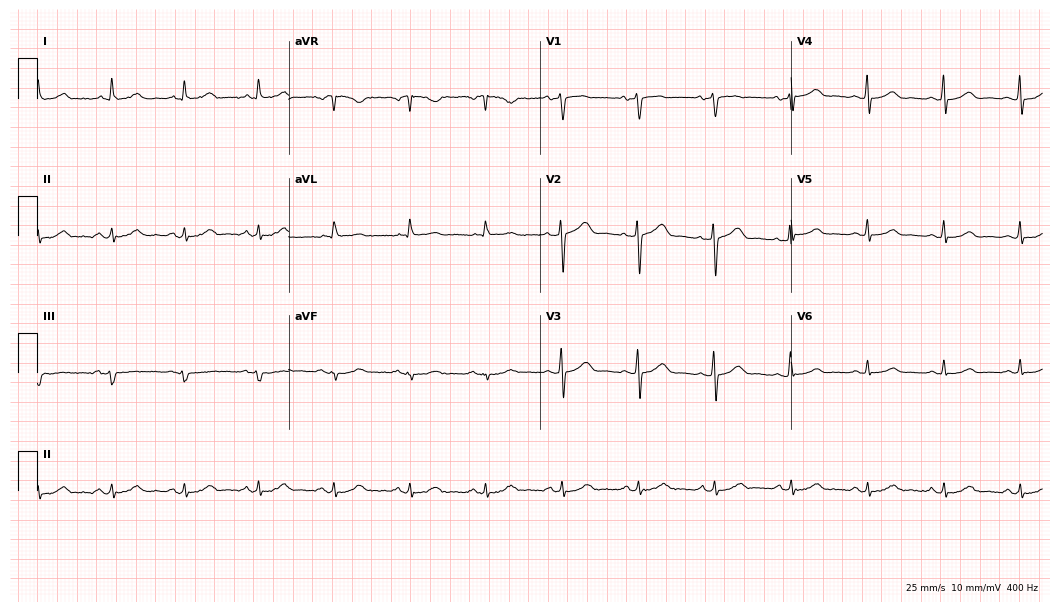
Resting 12-lead electrocardiogram (10.2-second recording at 400 Hz). Patient: a 60-year-old woman. Read as a normal ECG.